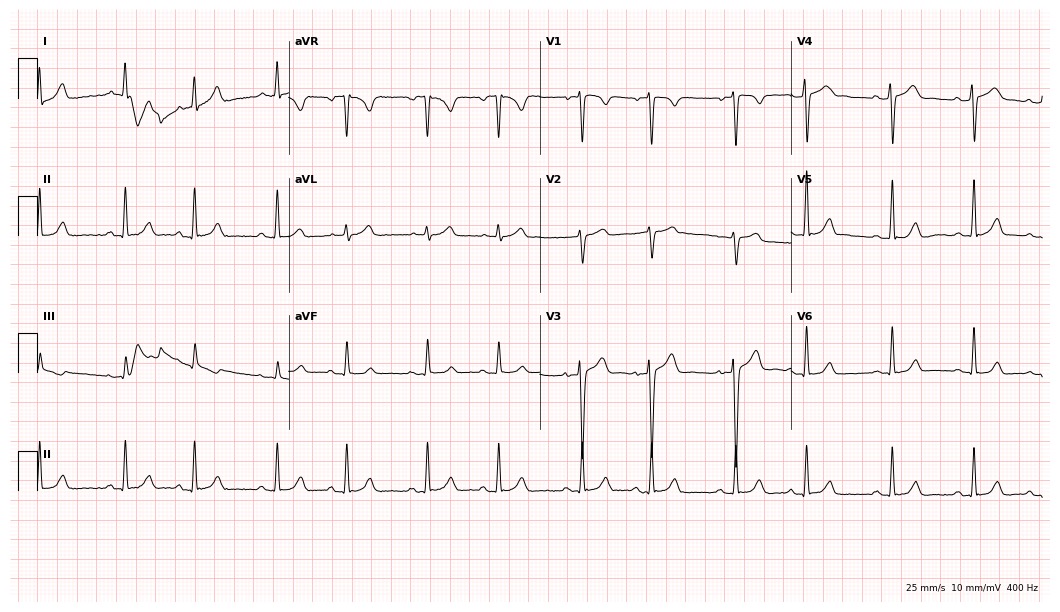
12-lead ECG from a 24-year-old male patient. Recorded interpretation: within normal limits.